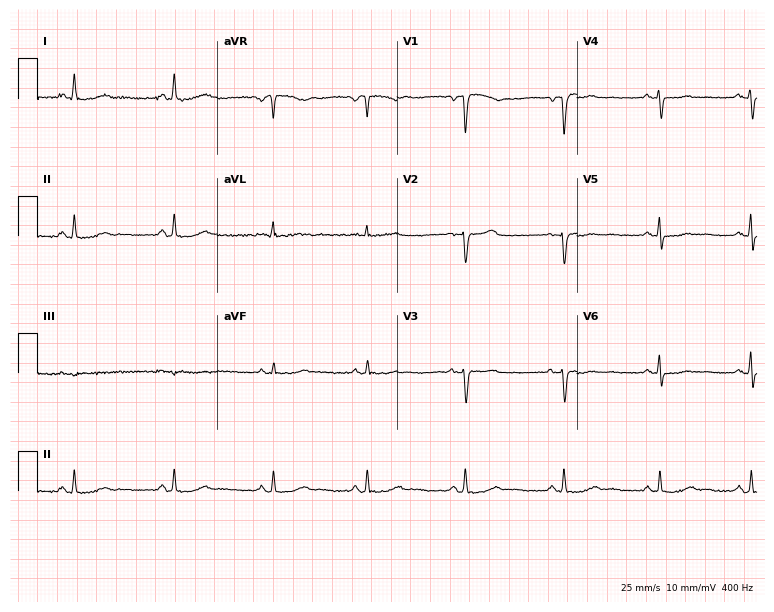
ECG — a 54-year-old female. Labelled as a normal ECG.